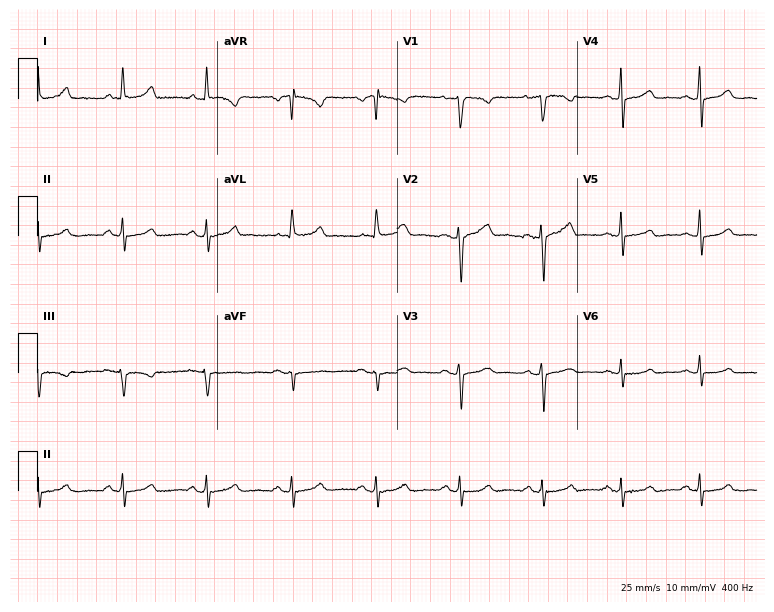
Resting 12-lead electrocardiogram. Patient: a female, 35 years old. None of these six findings is recorded: first-degree AV block, right bundle branch block (RBBB), left bundle branch block (LBBB), sinus bradycardia, atrial fibrillation (AF), sinus tachycardia.